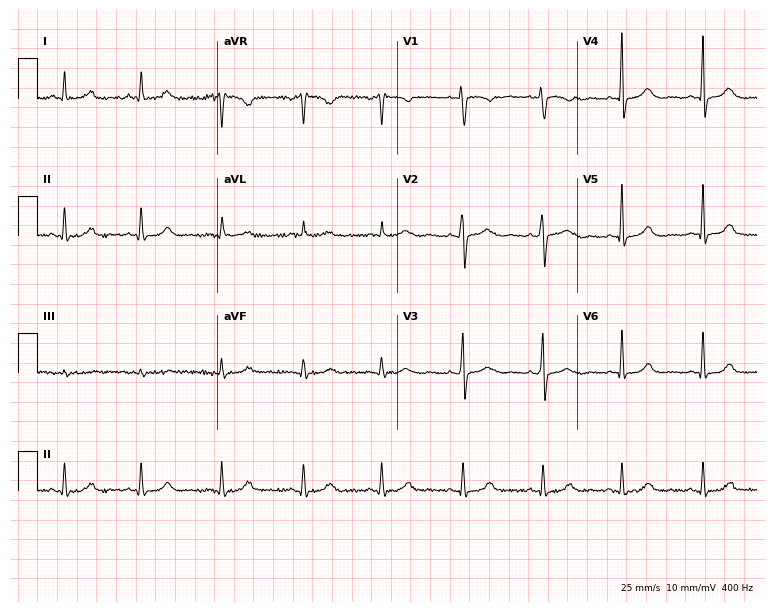
ECG — a 40-year-old woman. Labelled as a normal ECG.